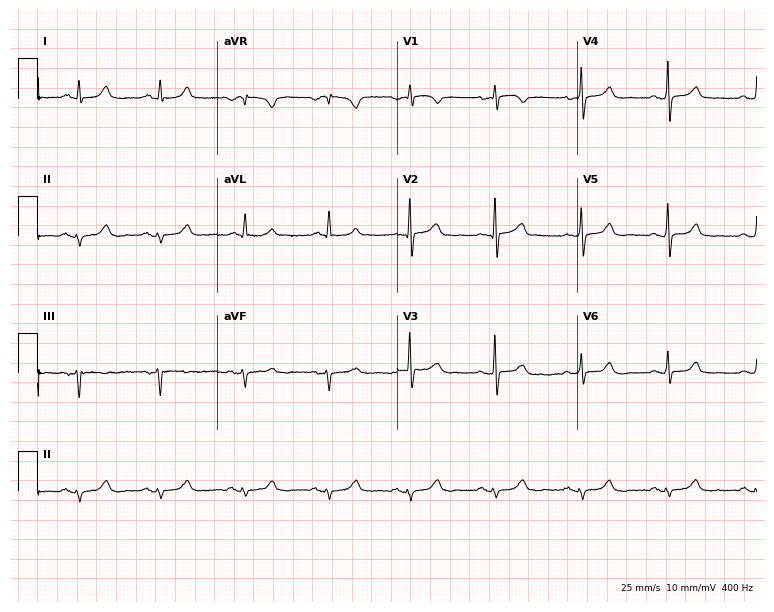
Resting 12-lead electrocardiogram. Patient: a female, 57 years old. None of these six findings is recorded: first-degree AV block, right bundle branch block, left bundle branch block, sinus bradycardia, atrial fibrillation, sinus tachycardia.